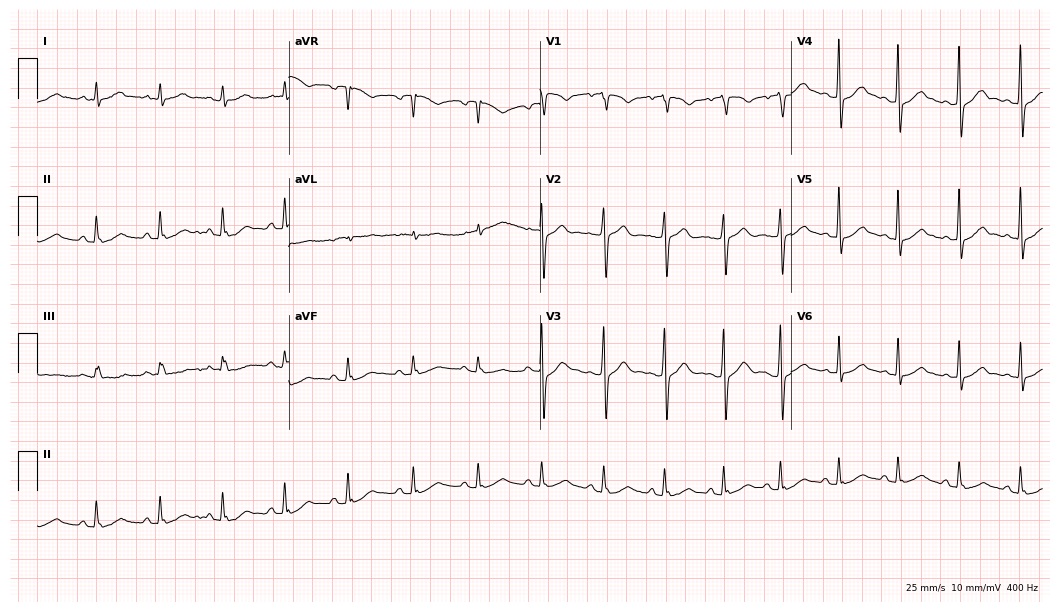
Standard 12-lead ECG recorded from a male, 52 years old (10.2-second recording at 400 Hz). Read as a normal ECG.